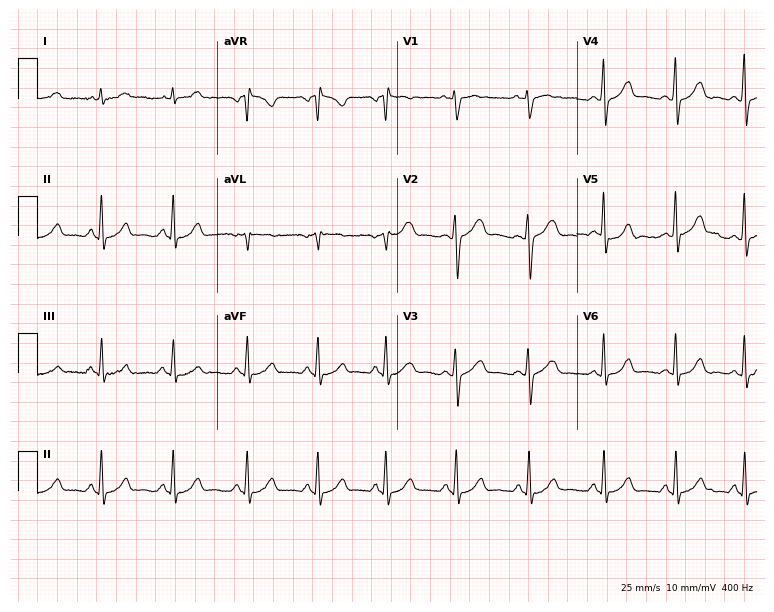
12-lead ECG (7.3-second recording at 400 Hz) from a female patient, 37 years old. Screened for six findings — first-degree AV block, right bundle branch block, left bundle branch block, sinus bradycardia, atrial fibrillation, sinus tachycardia — none is recorded. Other findings, if any, are not listed.